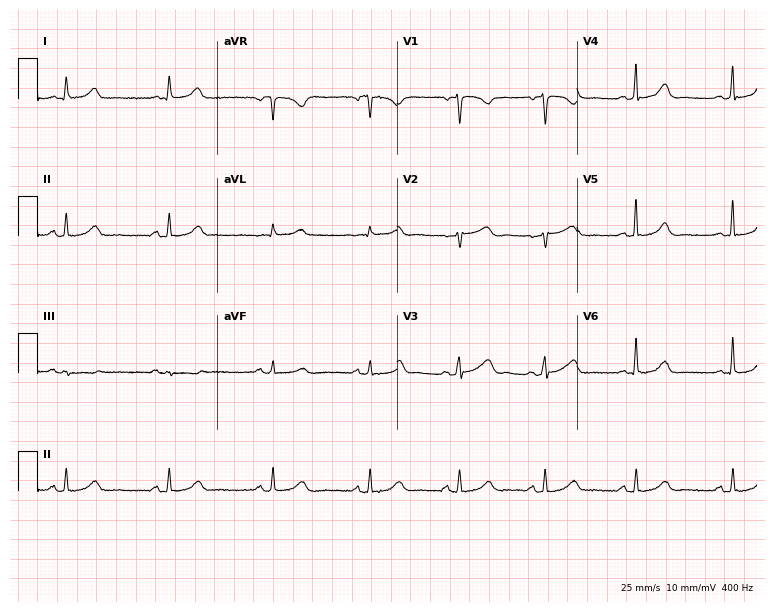
ECG — a female patient, 44 years old. Labelled as a normal ECG.